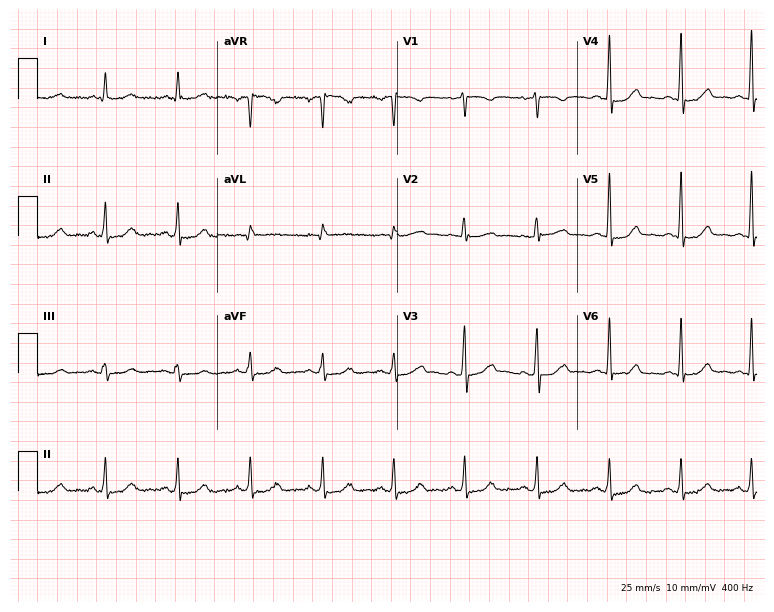
ECG (7.3-second recording at 400 Hz) — a female patient, 60 years old. Labelled as a normal ECG.